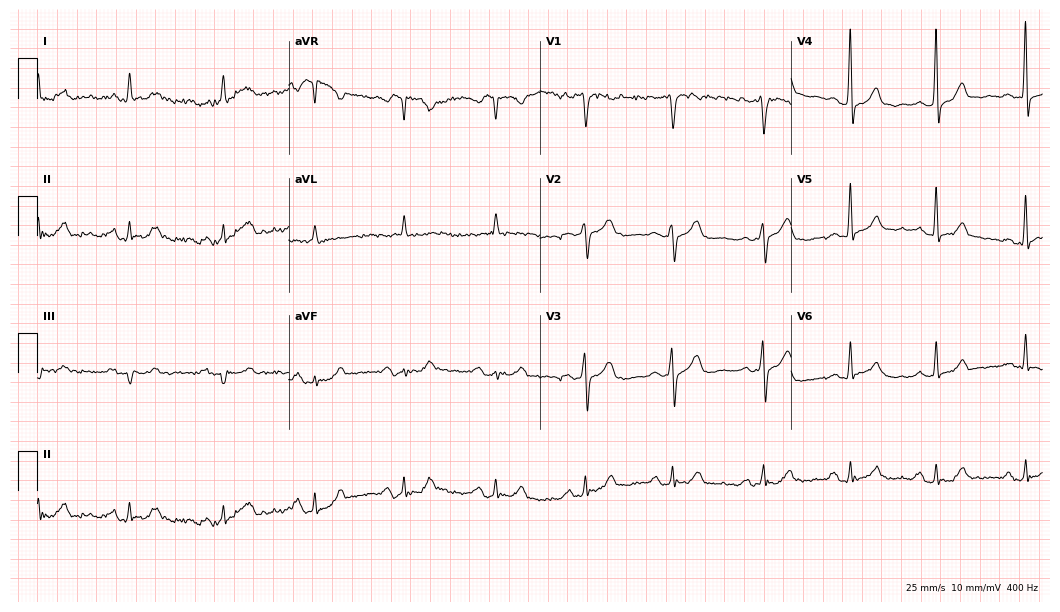
Standard 12-lead ECG recorded from a 76-year-old man. Read as a normal ECG.